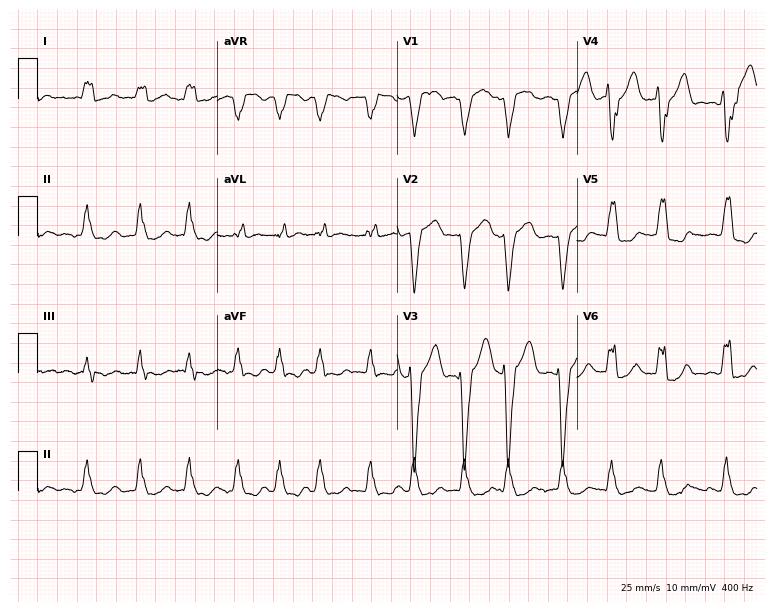
12-lead ECG (7.3-second recording at 400 Hz) from a female, 64 years old. Findings include left bundle branch block, atrial fibrillation.